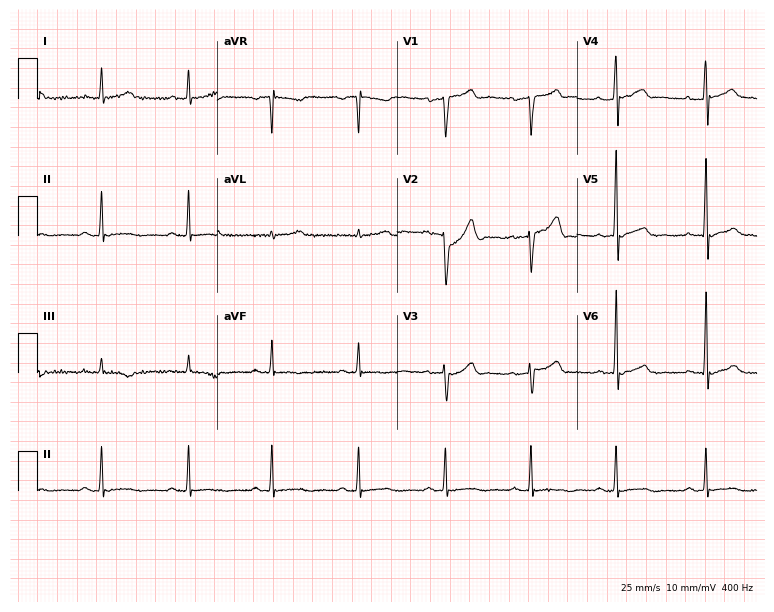
Electrocardiogram (7.3-second recording at 400 Hz), a male patient, 35 years old. Of the six screened findings (first-degree AV block, right bundle branch block, left bundle branch block, sinus bradycardia, atrial fibrillation, sinus tachycardia), none is recorded.